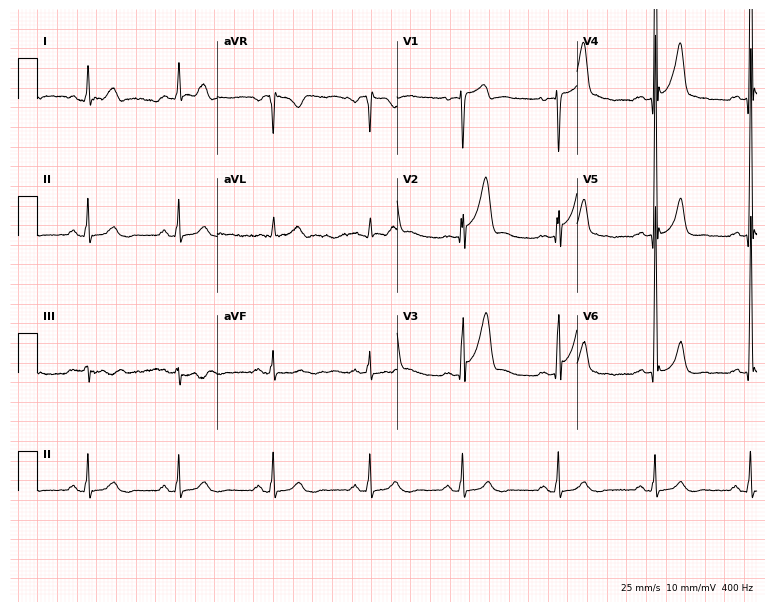
12-lead ECG (7.3-second recording at 400 Hz) from a male, 57 years old. Screened for six findings — first-degree AV block, right bundle branch block, left bundle branch block, sinus bradycardia, atrial fibrillation, sinus tachycardia — none is recorded. Only these six findings were labelled.